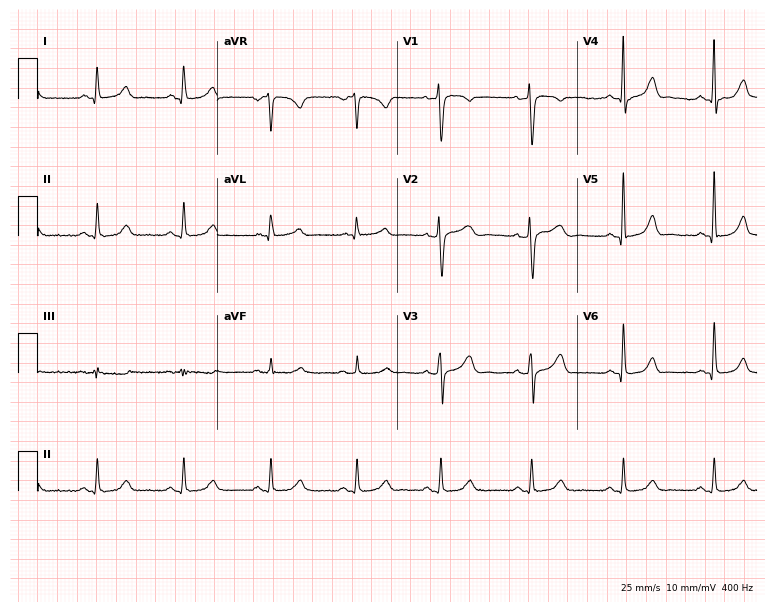
12-lead ECG (7.3-second recording at 400 Hz) from a woman, 48 years old. Labelled as a normal ECG.